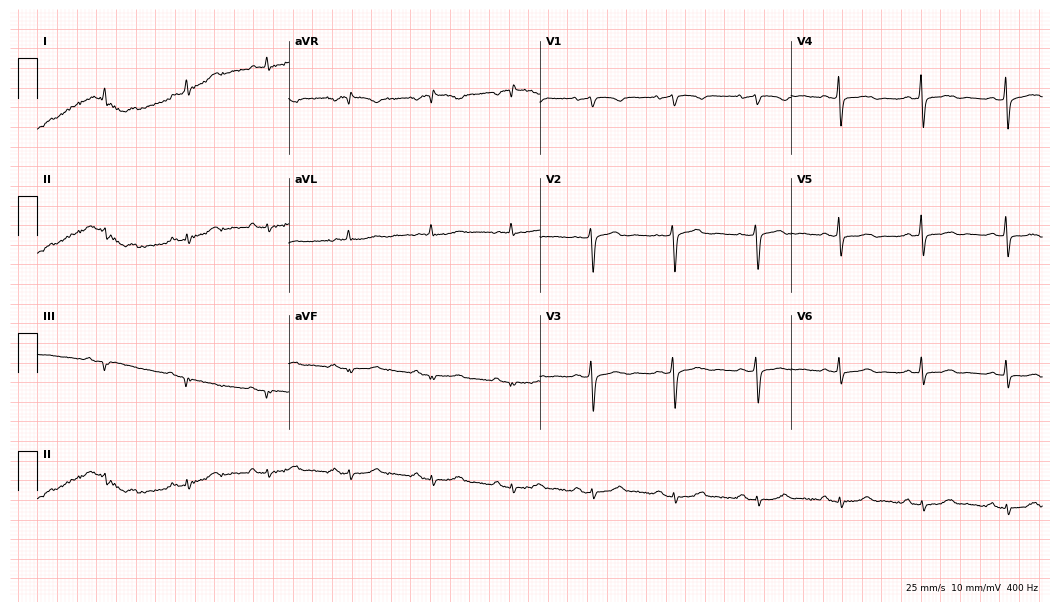
Resting 12-lead electrocardiogram. Patient: a 71-year-old female. None of these six findings is recorded: first-degree AV block, right bundle branch block (RBBB), left bundle branch block (LBBB), sinus bradycardia, atrial fibrillation (AF), sinus tachycardia.